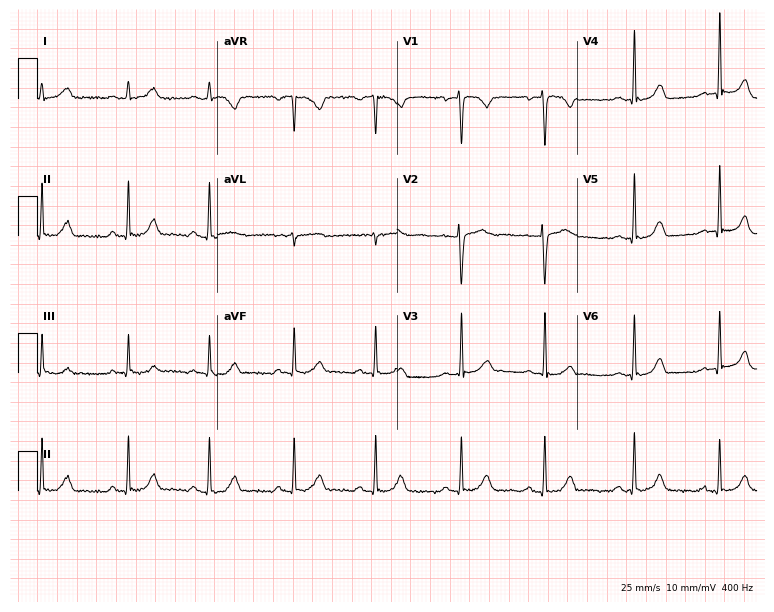
Electrocardiogram (7.3-second recording at 400 Hz), a 25-year-old female. Overall reading on record: normal ECG.